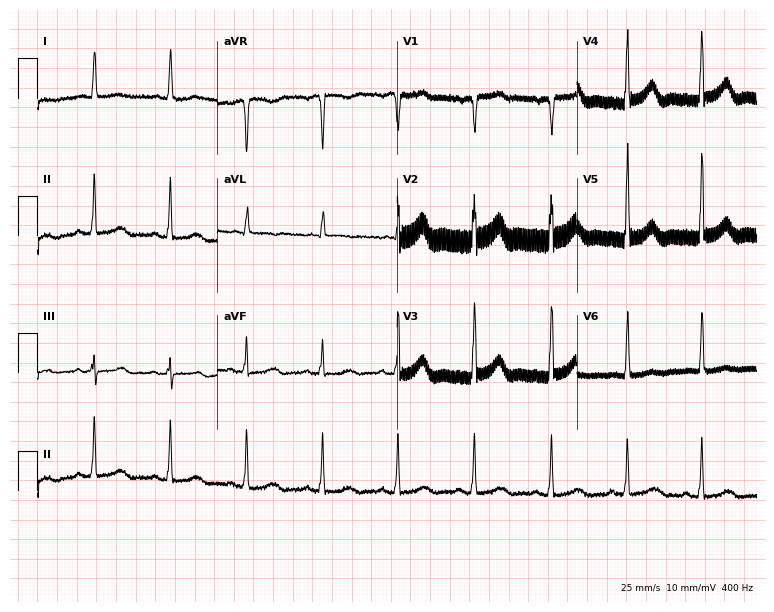
Resting 12-lead electrocardiogram. Patient: a 76-year-old female. None of these six findings is recorded: first-degree AV block, right bundle branch block, left bundle branch block, sinus bradycardia, atrial fibrillation, sinus tachycardia.